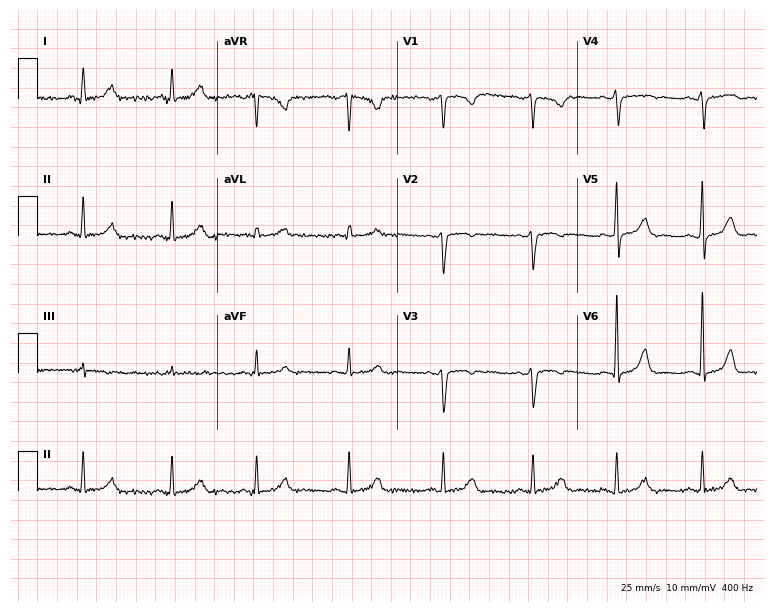
Standard 12-lead ECG recorded from a 45-year-old female. None of these six findings is recorded: first-degree AV block, right bundle branch block, left bundle branch block, sinus bradycardia, atrial fibrillation, sinus tachycardia.